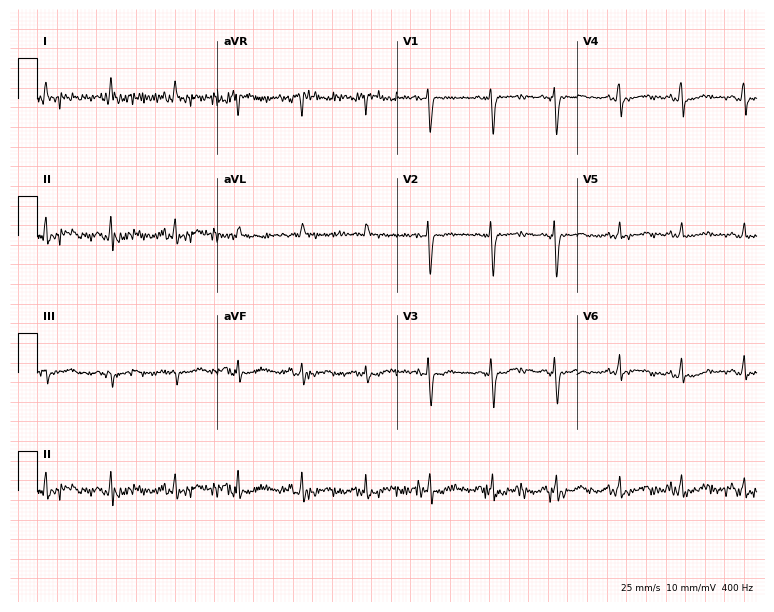
Resting 12-lead electrocardiogram (7.3-second recording at 400 Hz). Patient: a female, 42 years old. None of these six findings is recorded: first-degree AV block, right bundle branch block, left bundle branch block, sinus bradycardia, atrial fibrillation, sinus tachycardia. Only these six findings were labelled.